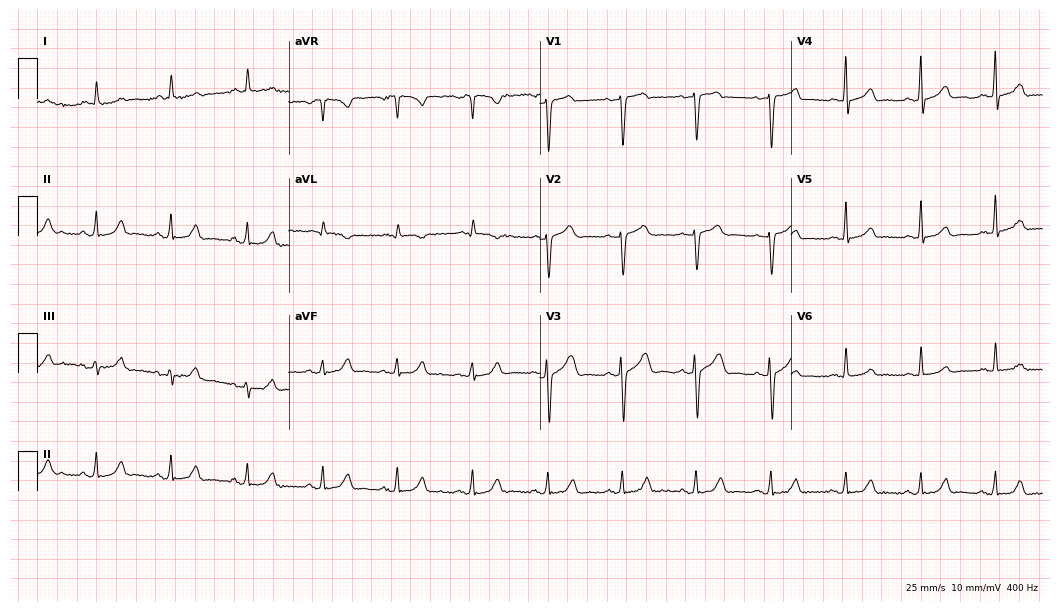
Standard 12-lead ECG recorded from a 57-year-old woman. Read as a normal ECG.